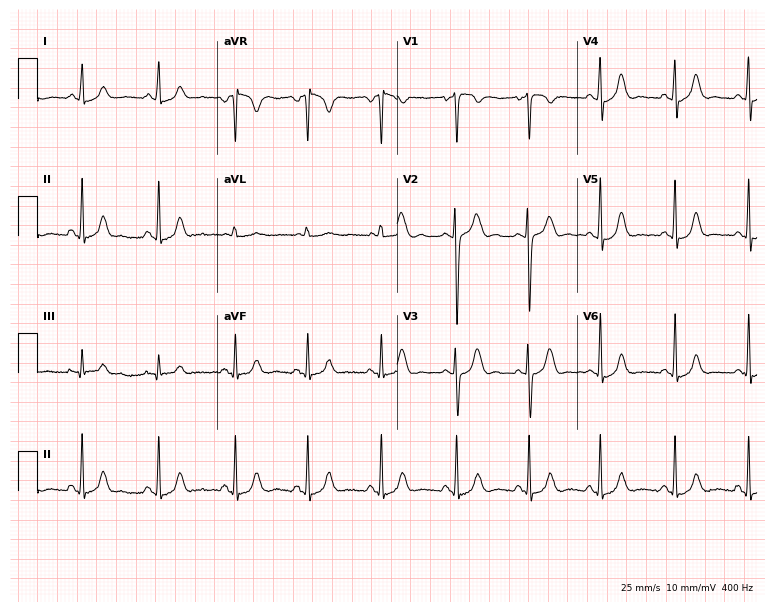
12-lead ECG from a 17-year-old woman. Labelled as a normal ECG.